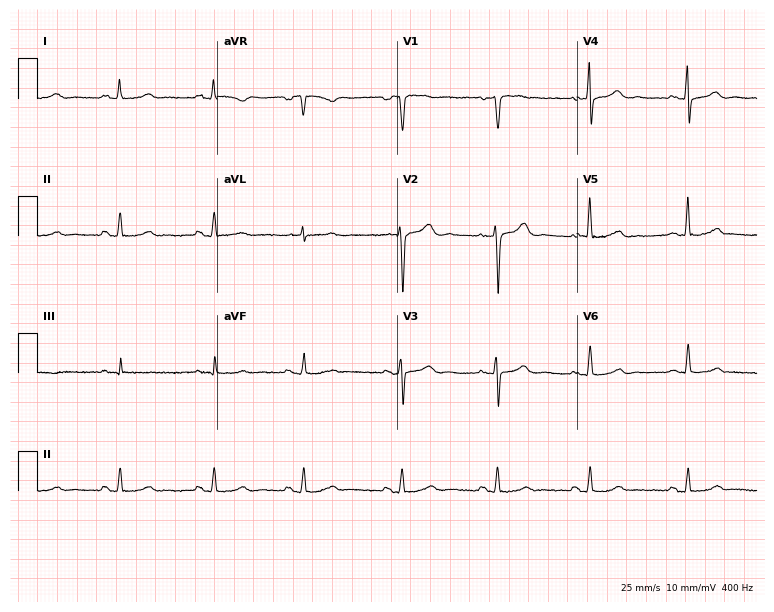
Electrocardiogram (7.3-second recording at 400 Hz), a female, 43 years old. Overall reading on record: normal ECG.